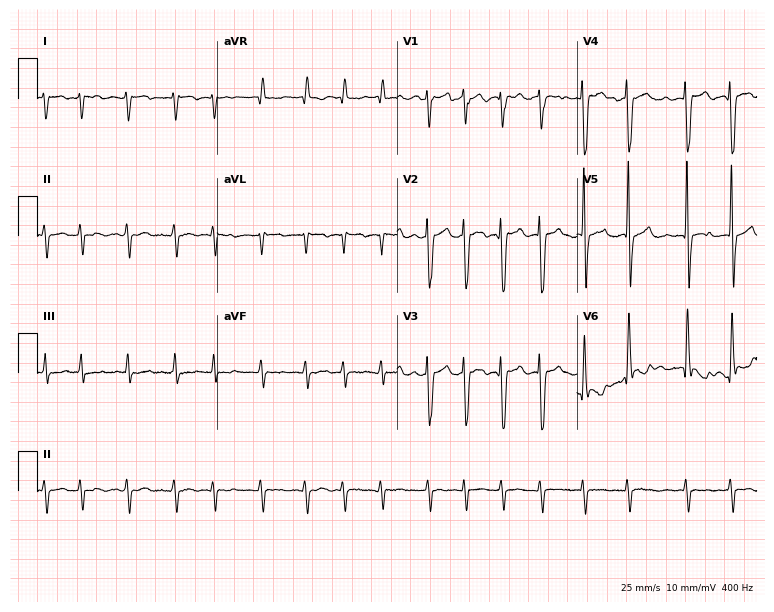
Electrocardiogram, a 74-year-old woman. Interpretation includes atrial fibrillation (AF).